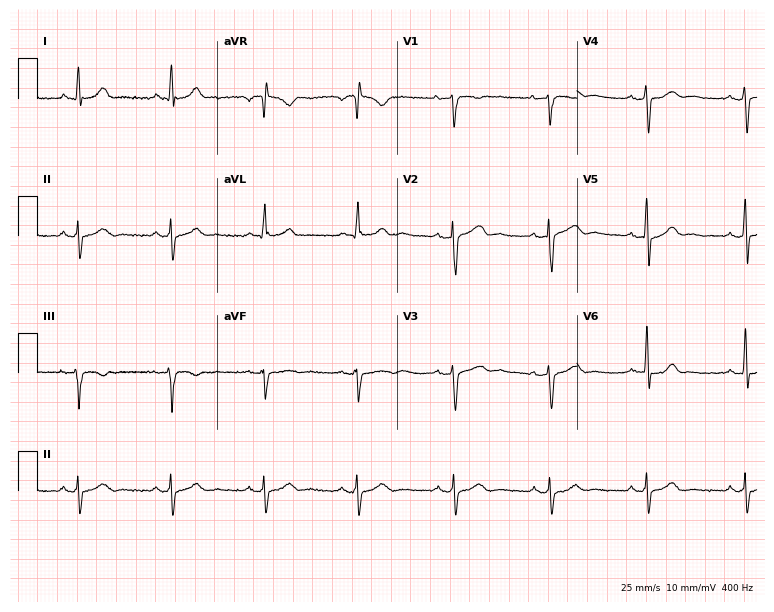
12-lead ECG (7.3-second recording at 400 Hz) from a male, 40 years old. Screened for six findings — first-degree AV block, right bundle branch block, left bundle branch block, sinus bradycardia, atrial fibrillation, sinus tachycardia — none is recorded. Only these six findings were labelled.